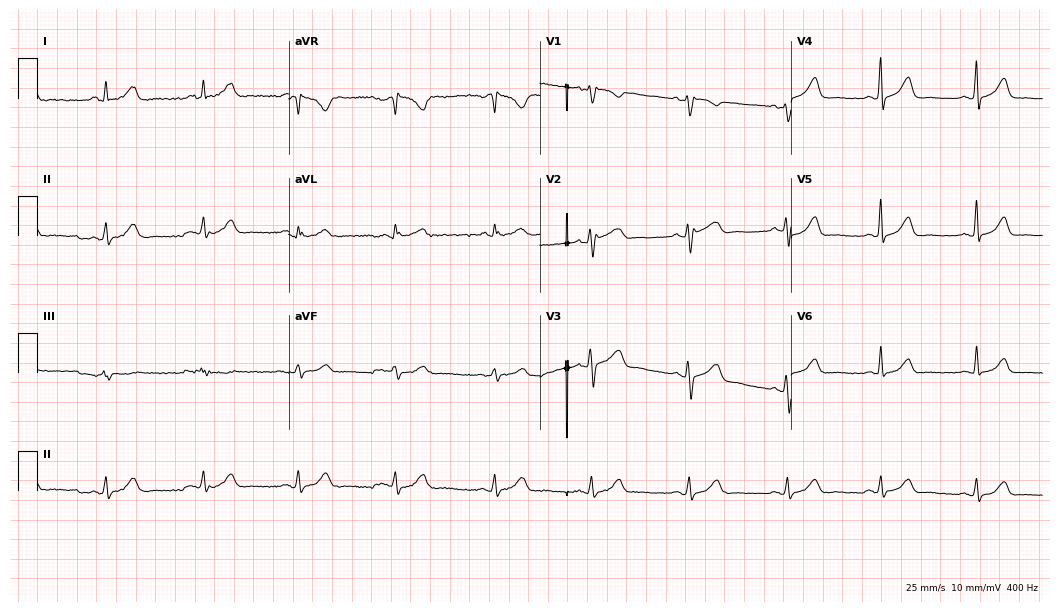
Standard 12-lead ECG recorded from a female patient, 38 years old (10.2-second recording at 400 Hz). None of these six findings is recorded: first-degree AV block, right bundle branch block, left bundle branch block, sinus bradycardia, atrial fibrillation, sinus tachycardia.